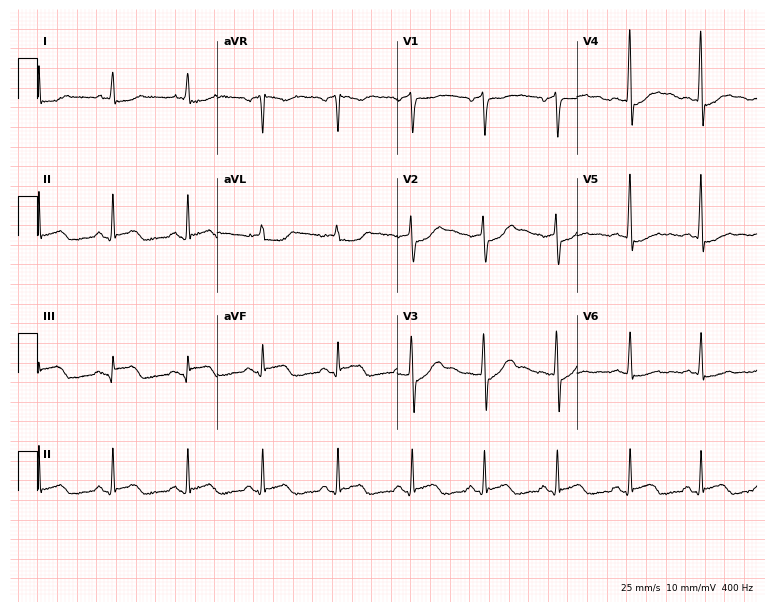
12-lead ECG from a 37-year-old male patient. Screened for six findings — first-degree AV block, right bundle branch block (RBBB), left bundle branch block (LBBB), sinus bradycardia, atrial fibrillation (AF), sinus tachycardia — none is recorded.